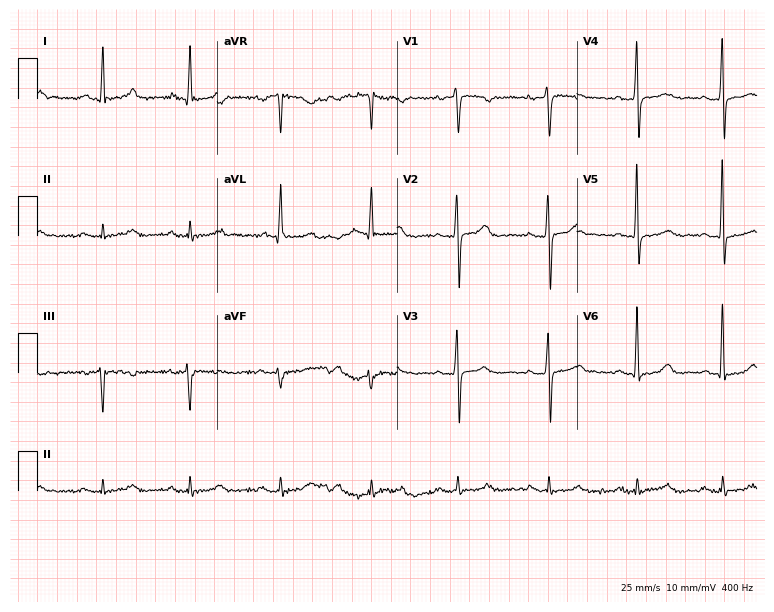
12-lead ECG from a man, 52 years old. Labelled as a normal ECG.